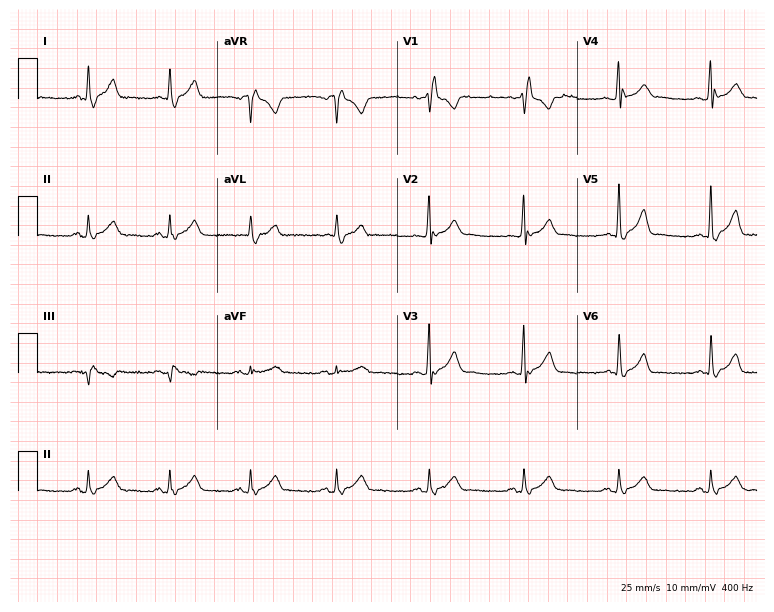
Resting 12-lead electrocardiogram. Patient: a man, 45 years old. The tracing shows right bundle branch block (RBBB).